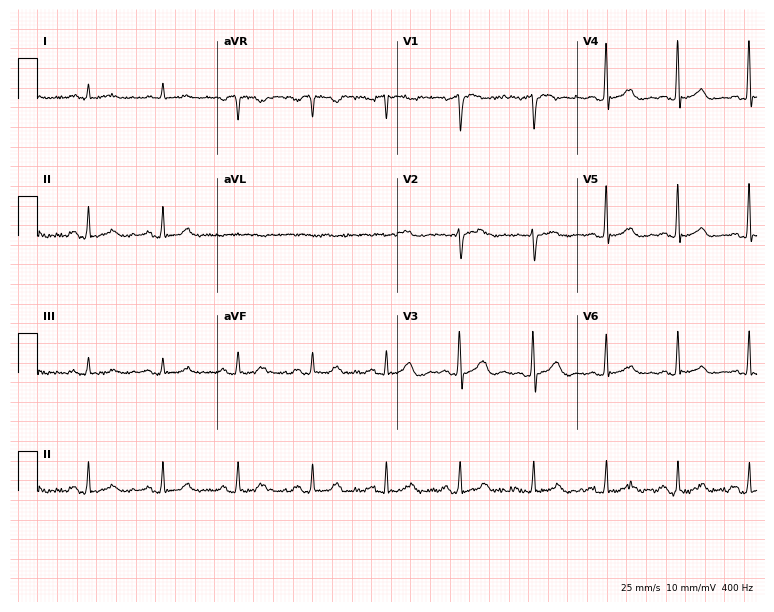
Resting 12-lead electrocardiogram (7.3-second recording at 400 Hz). Patient: a 73-year-old male. Read as a normal ECG.